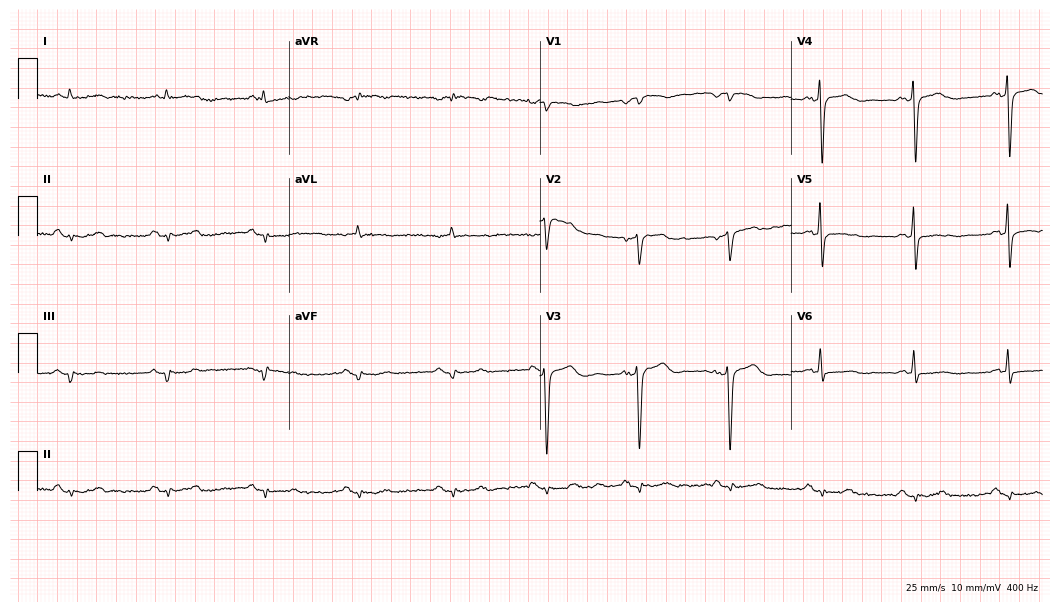
ECG — a 74-year-old man. Screened for six findings — first-degree AV block, right bundle branch block, left bundle branch block, sinus bradycardia, atrial fibrillation, sinus tachycardia — none is recorded.